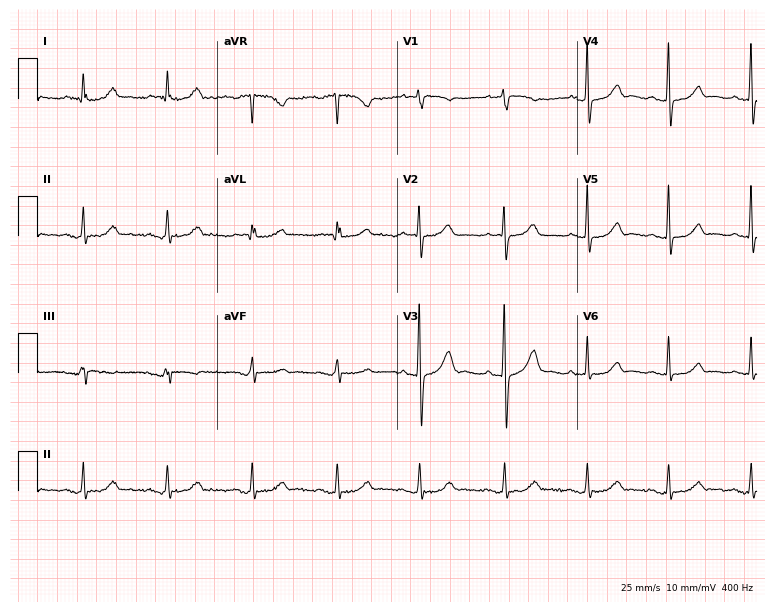
Standard 12-lead ECG recorded from a female patient, 70 years old. Read as a normal ECG.